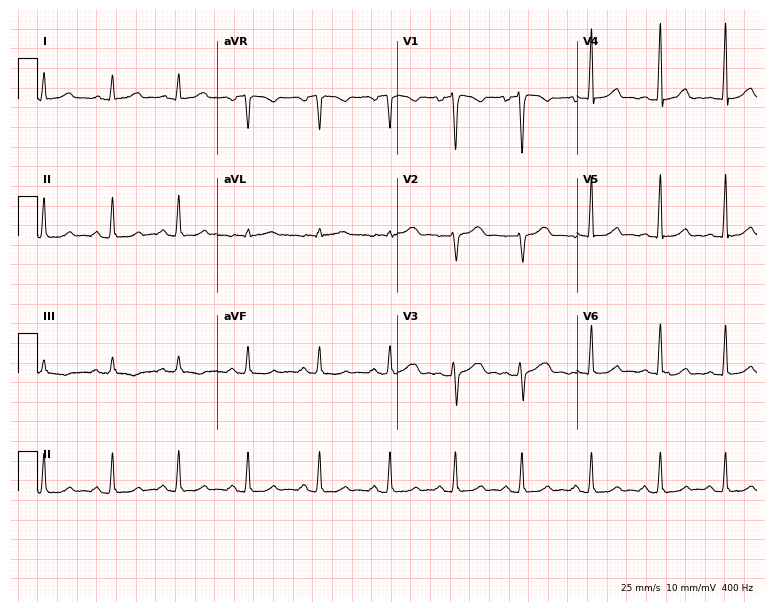
12-lead ECG from a woman, 31 years old (7.3-second recording at 400 Hz). No first-degree AV block, right bundle branch block (RBBB), left bundle branch block (LBBB), sinus bradycardia, atrial fibrillation (AF) or sinus tachycardia recorded for this tracing. Other findings, if any, are not listed.